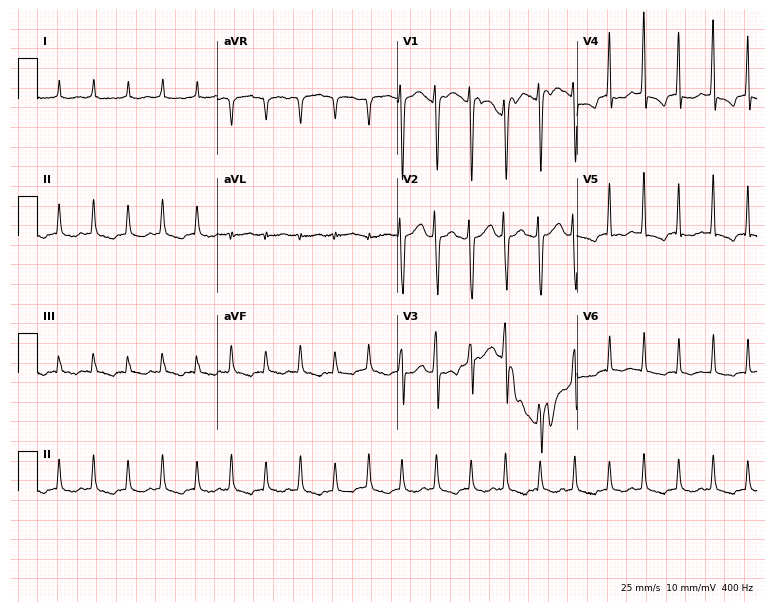
Electrocardiogram, a woman, 40 years old. Of the six screened findings (first-degree AV block, right bundle branch block, left bundle branch block, sinus bradycardia, atrial fibrillation, sinus tachycardia), none is recorded.